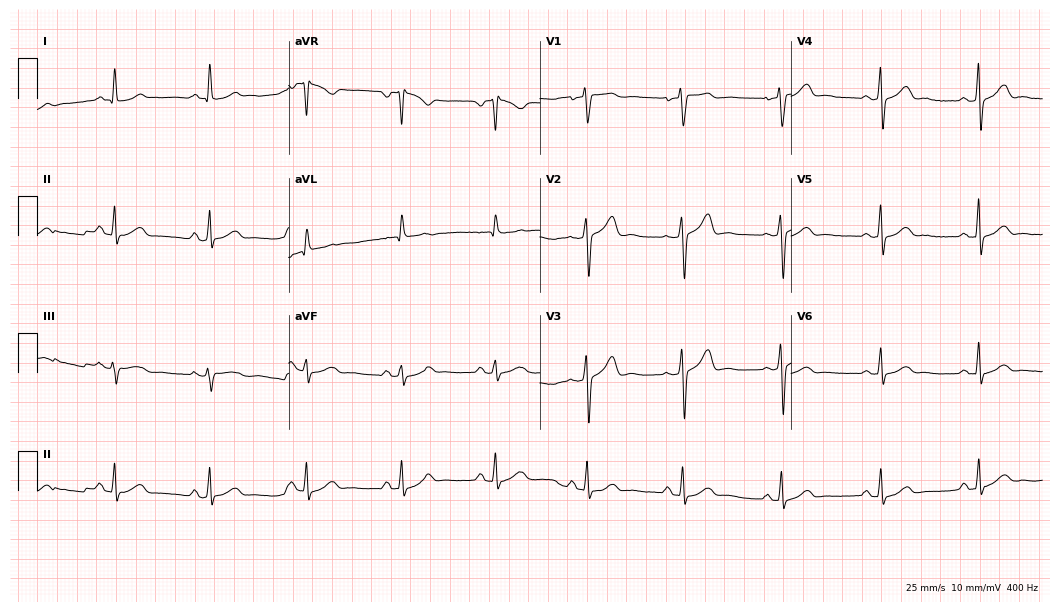
12-lead ECG (10.2-second recording at 400 Hz) from a male patient, 47 years old. Labelled as a normal ECG.